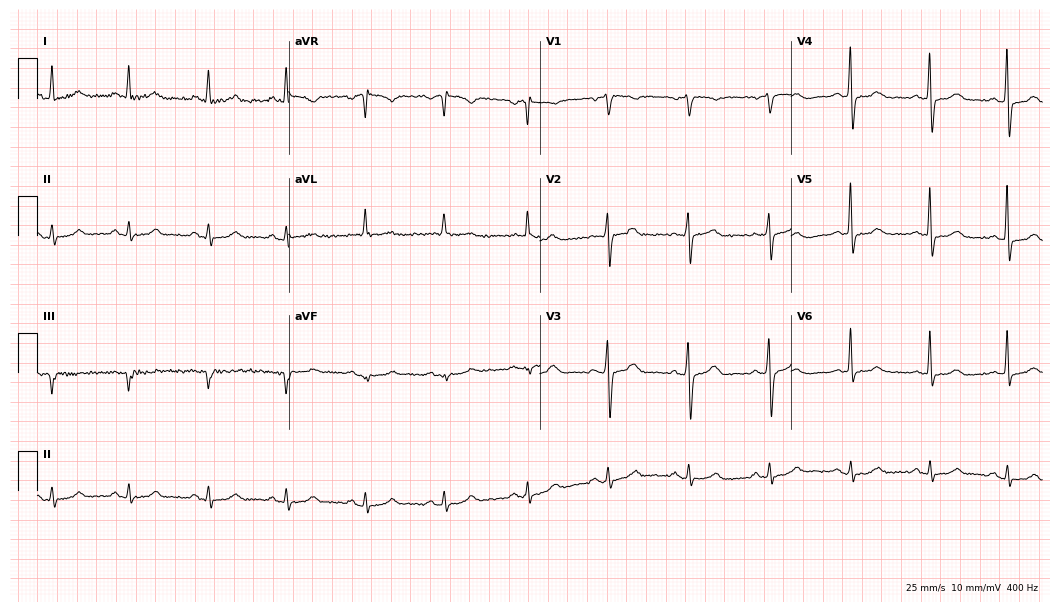
Electrocardiogram (10.2-second recording at 400 Hz), a male patient, 64 years old. Of the six screened findings (first-degree AV block, right bundle branch block, left bundle branch block, sinus bradycardia, atrial fibrillation, sinus tachycardia), none is recorded. Findings outside these six are not listed.